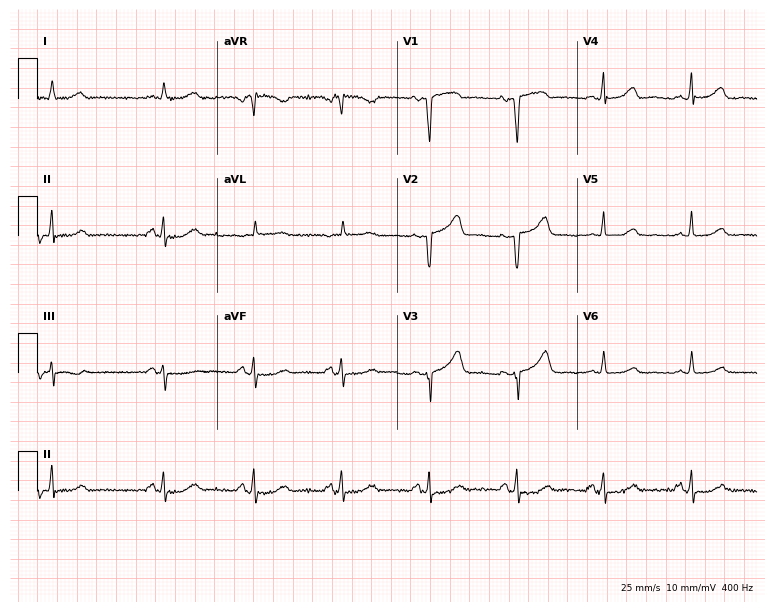
Resting 12-lead electrocardiogram (7.3-second recording at 400 Hz). Patient: an 81-year-old female. None of these six findings is recorded: first-degree AV block, right bundle branch block, left bundle branch block, sinus bradycardia, atrial fibrillation, sinus tachycardia. Other findings, if any, are not listed.